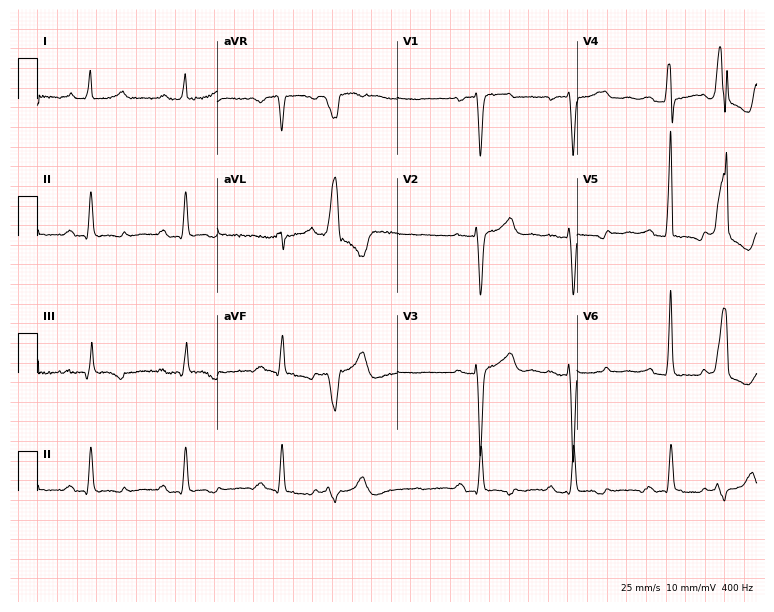
Standard 12-lead ECG recorded from a 43-year-old female patient. None of these six findings is recorded: first-degree AV block, right bundle branch block, left bundle branch block, sinus bradycardia, atrial fibrillation, sinus tachycardia. Other findings, if any, are not listed.